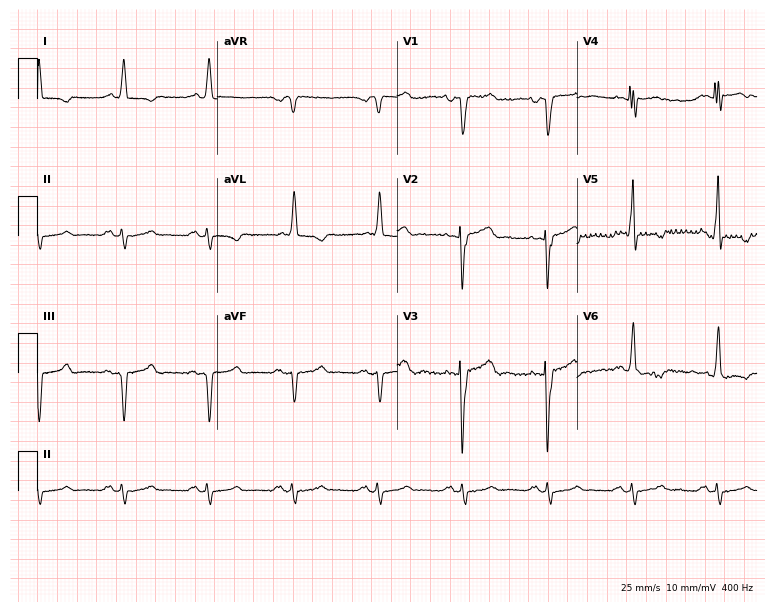
Electrocardiogram (7.3-second recording at 400 Hz), a 65-year-old male patient. Of the six screened findings (first-degree AV block, right bundle branch block (RBBB), left bundle branch block (LBBB), sinus bradycardia, atrial fibrillation (AF), sinus tachycardia), none is recorded.